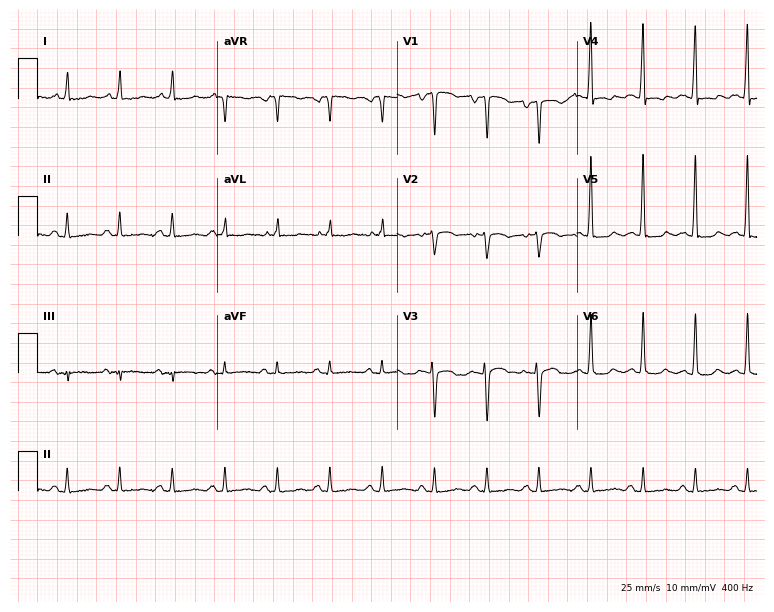
12-lead ECG from a 33-year-old man. Findings include sinus tachycardia (a sinus rate of 100 beats per minute or more).